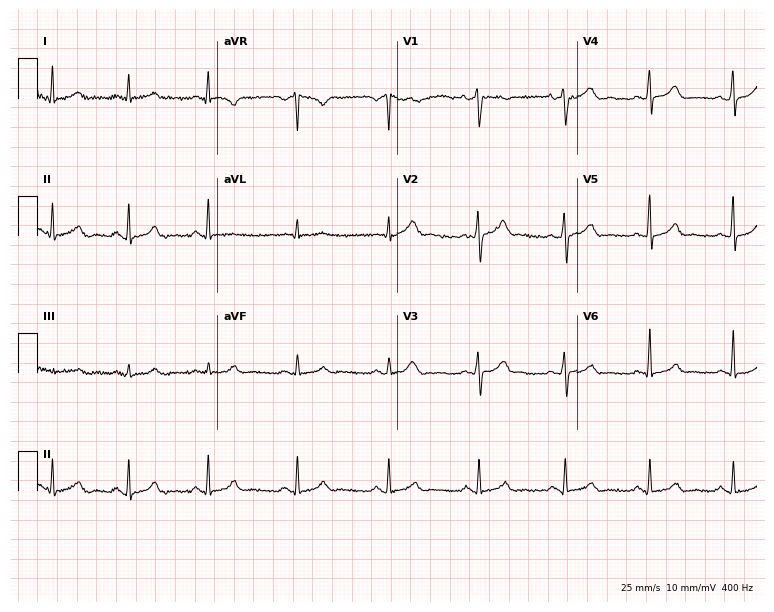
12-lead ECG from a female, 21 years old. No first-degree AV block, right bundle branch block, left bundle branch block, sinus bradycardia, atrial fibrillation or sinus tachycardia recorded for this tracing.